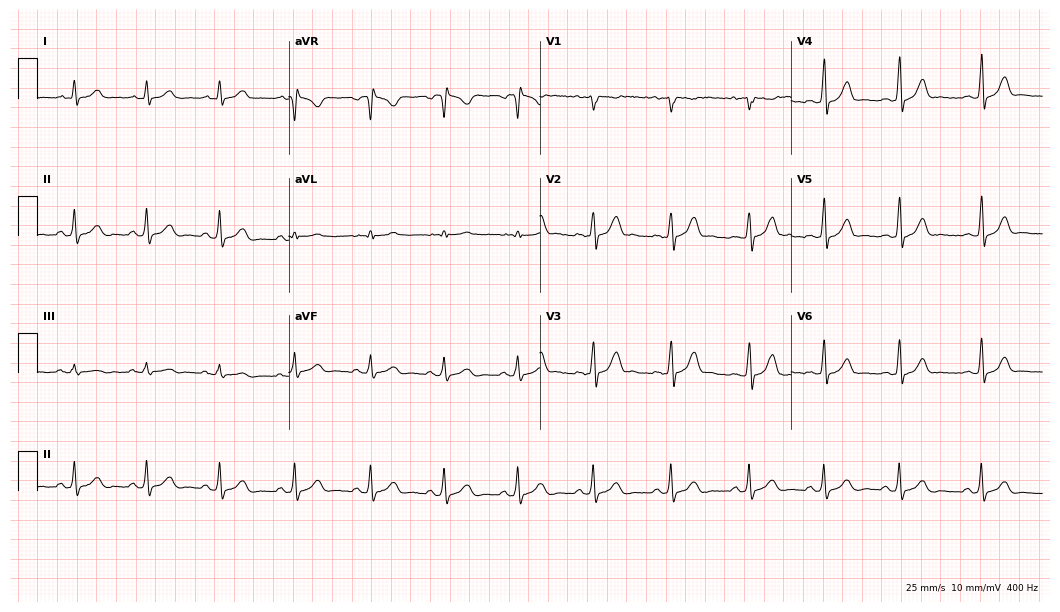
ECG — a 20-year-old female patient. Labelled as a normal ECG.